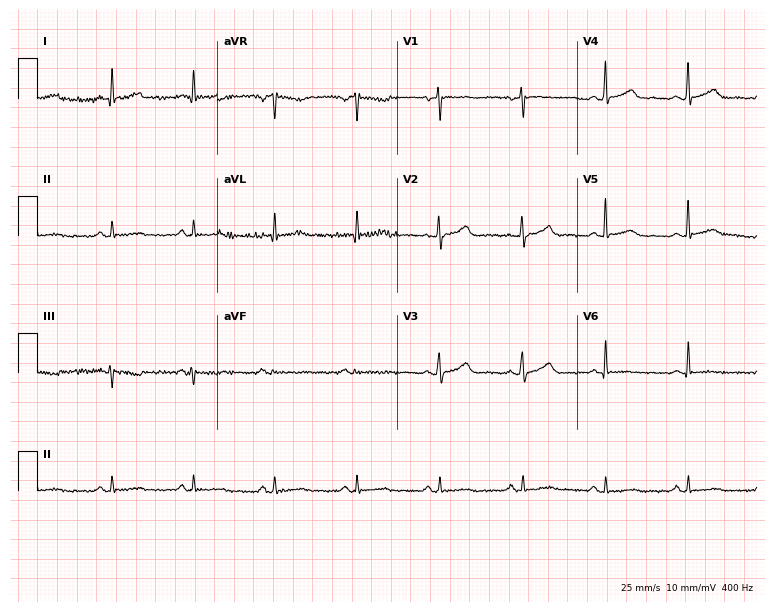
12-lead ECG from a 60-year-old female patient (7.3-second recording at 400 Hz). No first-degree AV block, right bundle branch block, left bundle branch block, sinus bradycardia, atrial fibrillation or sinus tachycardia recorded for this tracing. Only these six findings were labelled.